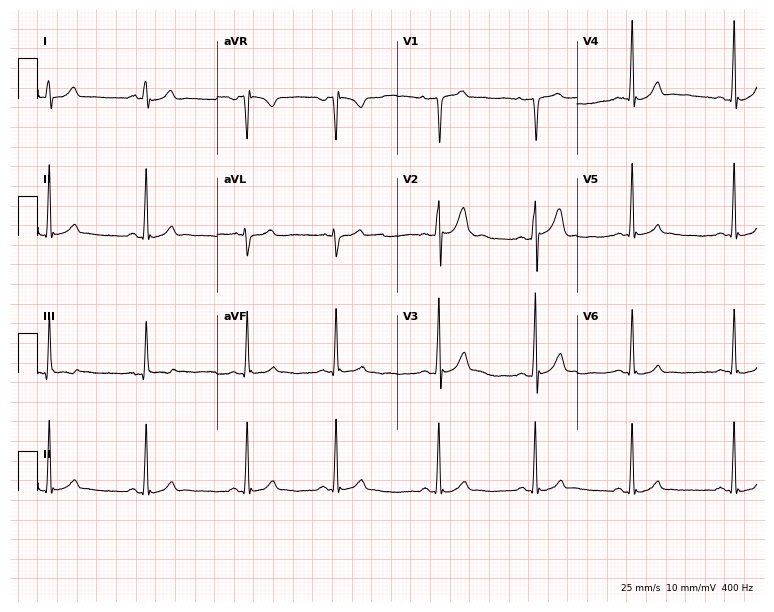
12-lead ECG from a male, 20 years old. Labelled as a normal ECG.